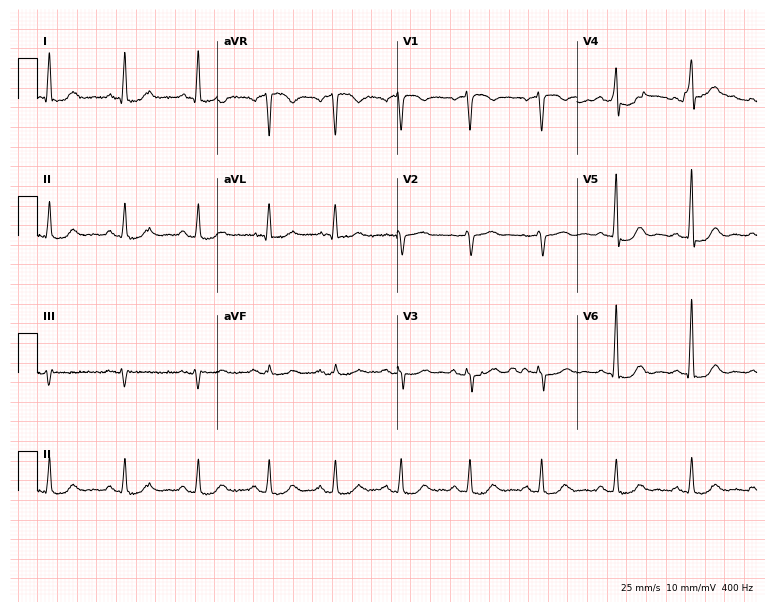
Electrocardiogram, a male, 77 years old. Overall reading on record: normal ECG.